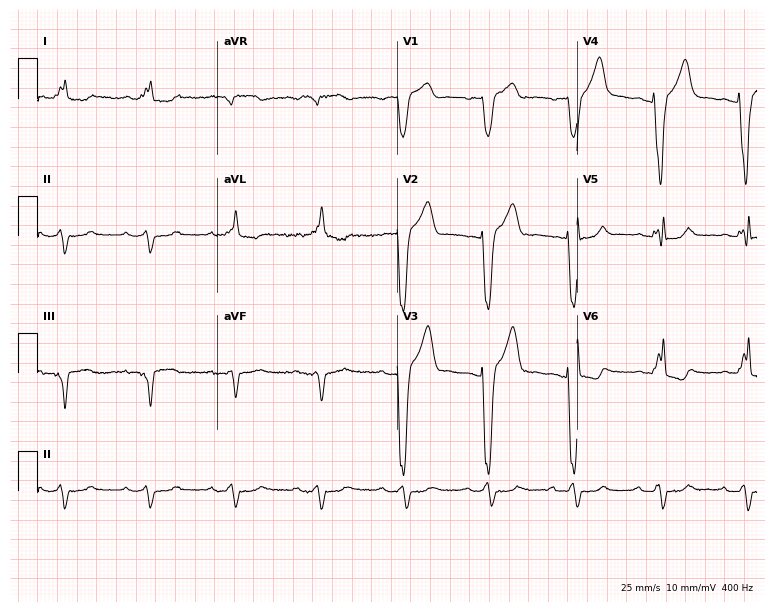
Resting 12-lead electrocardiogram (7.3-second recording at 400 Hz). Patient: a male, 84 years old. The tracing shows left bundle branch block (LBBB).